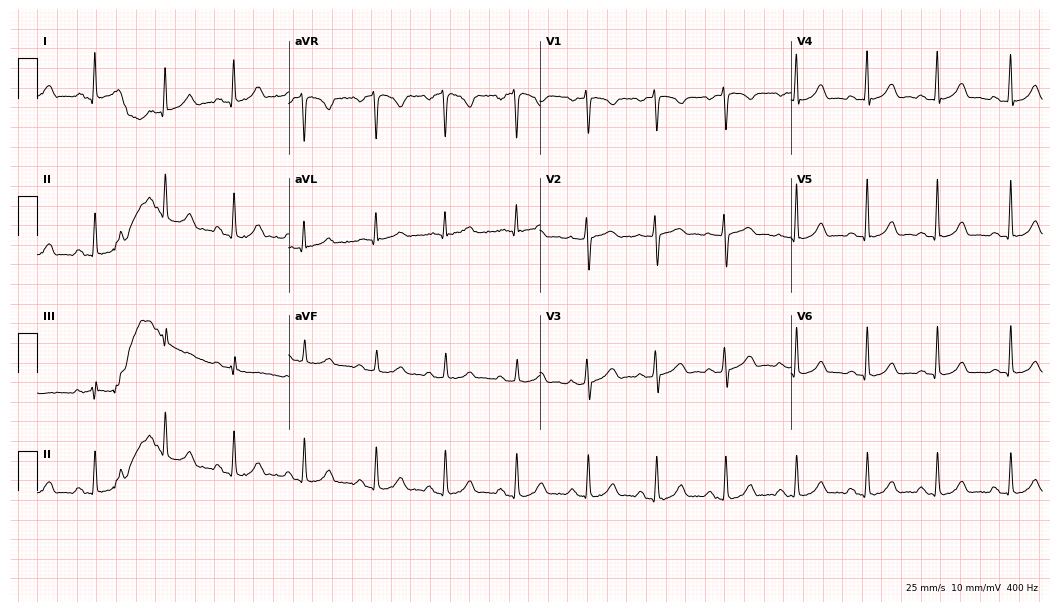
12-lead ECG from a female, 39 years old. Labelled as a normal ECG.